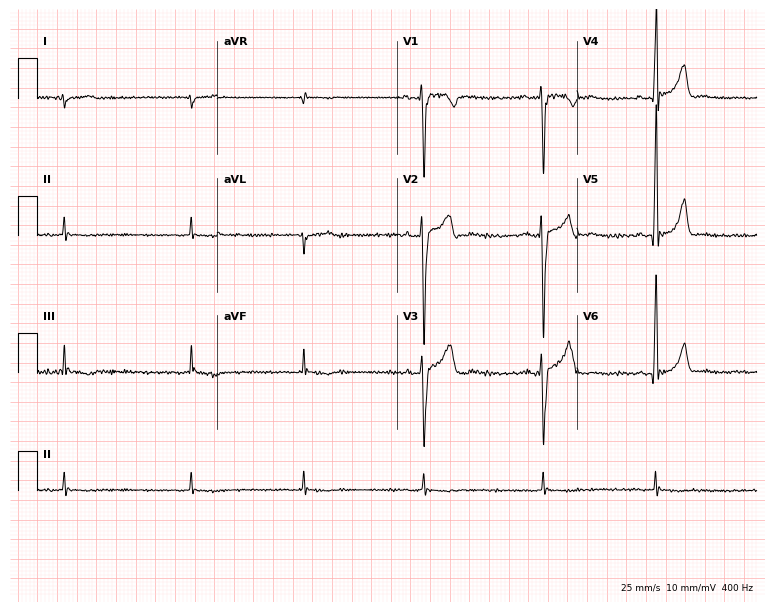
Standard 12-lead ECG recorded from a male, 25 years old. Read as a normal ECG.